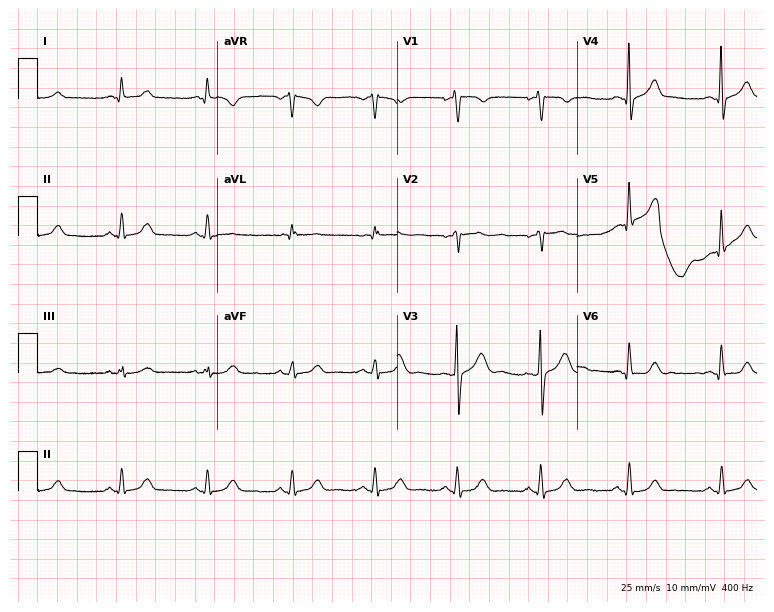
12-lead ECG from a male, 49 years old. Labelled as a normal ECG.